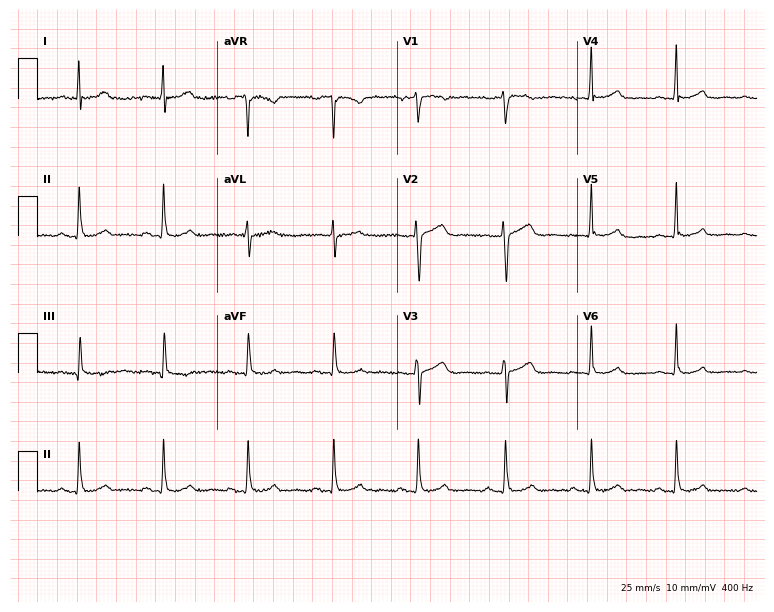
12-lead ECG from a female, 77 years old. Labelled as a normal ECG.